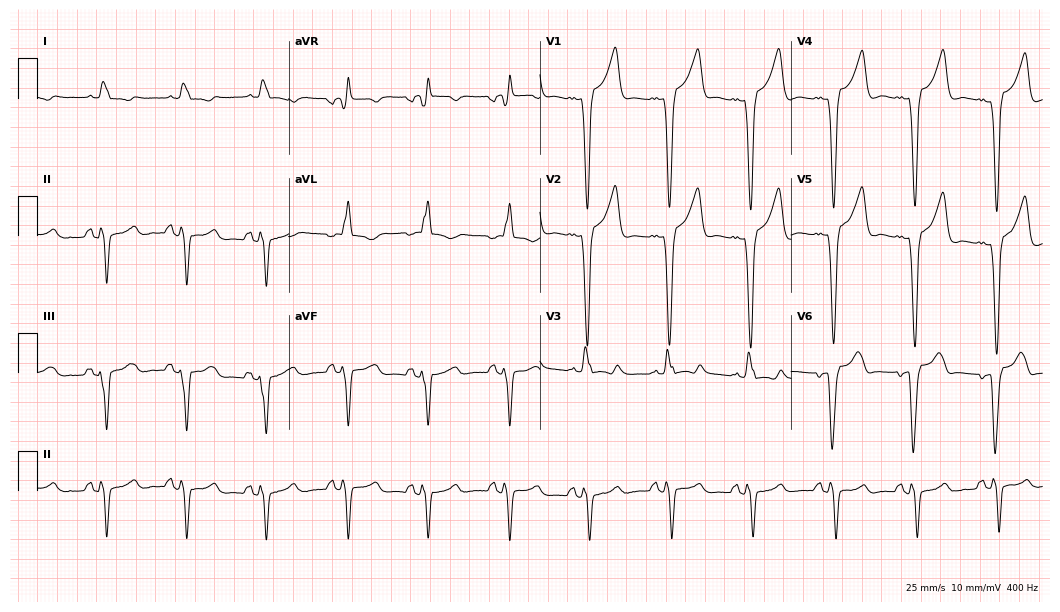
Electrocardiogram, a 73-year-old man. Of the six screened findings (first-degree AV block, right bundle branch block, left bundle branch block, sinus bradycardia, atrial fibrillation, sinus tachycardia), none is recorded. Only these six findings were labelled.